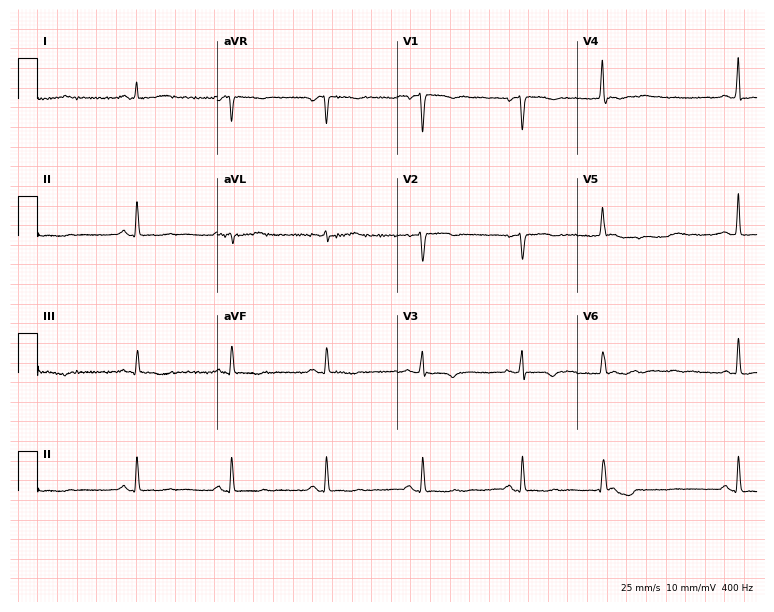
Electrocardiogram (7.3-second recording at 400 Hz), a 41-year-old woman. Of the six screened findings (first-degree AV block, right bundle branch block (RBBB), left bundle branch block (LBBB), sinus bradycardia, atrial fibrillation (AF), sinus tachycardia), none is recorded. Only these six findings were labelled.